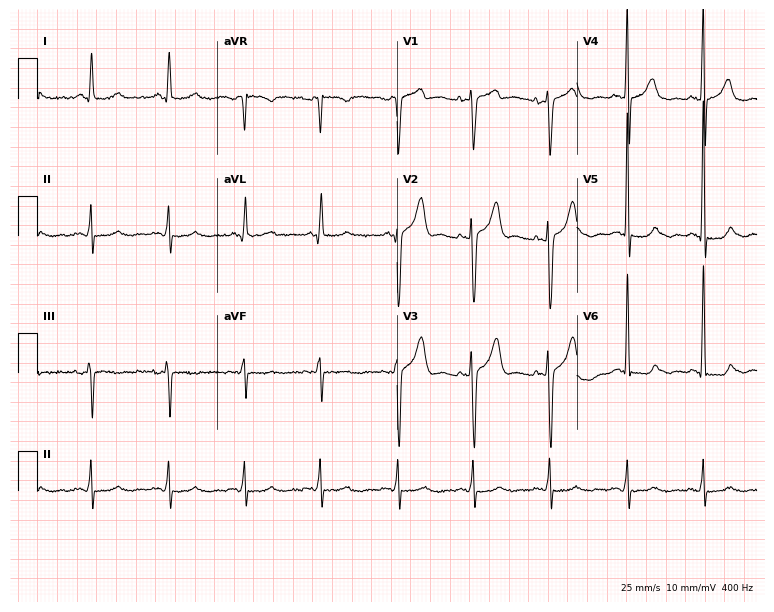
12-lead ECG from a 62-year-old male patient. No first-degree AV block, right bundle branch block (RBBB), left bundle branch block (LBBB), sinus bradycardia, atrial fibrillation (AF) or sinus tachycardia recorded for this tracing. Findings outside these six are not listed.